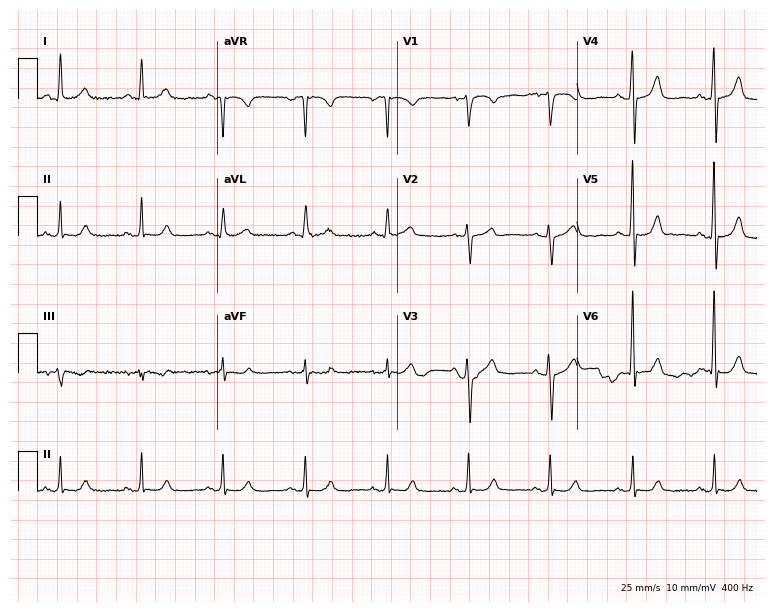
ECG — a 77-year-old male patient. Screened for six findings — first-degree AV block, right bundle branch block (RBBB), left bundle branch block (LBBB), sinus bradycardia, atrial fibrillation (AF), sinus tachycardia — none is recorded.